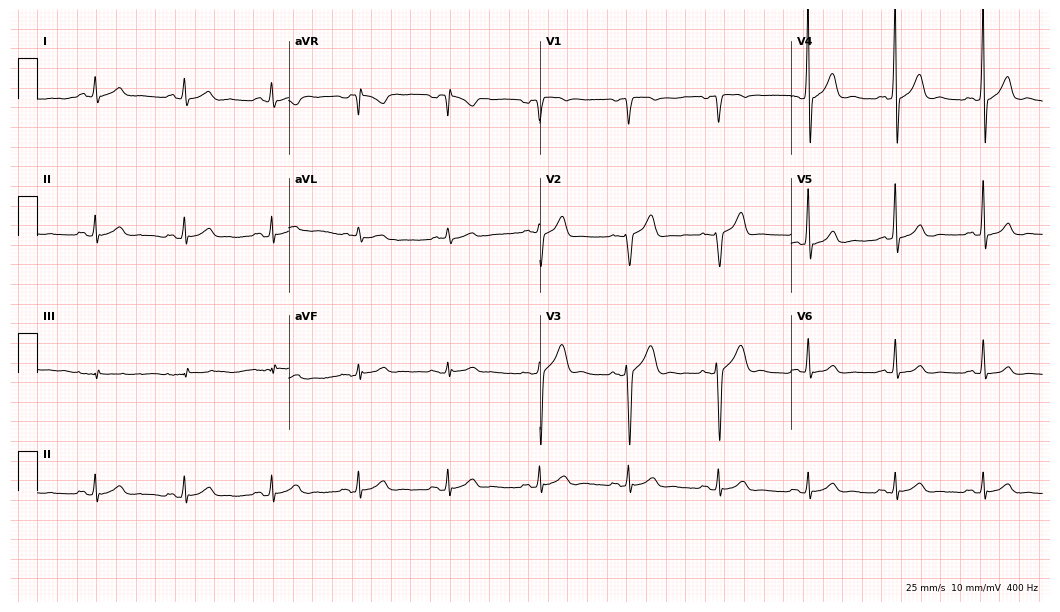
Standard 12-lead ECG recorded from a 42-year-old male patient. Read as a normal ECG.